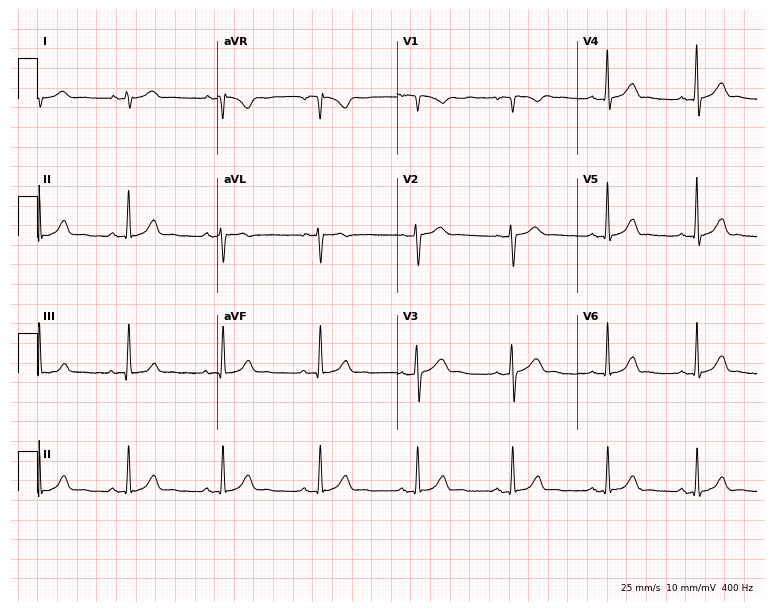
Standard 12-lead ECG recorded from a male patient, 31 years old (7.3-second recording at 400 Hz). Read as a normal ECG.